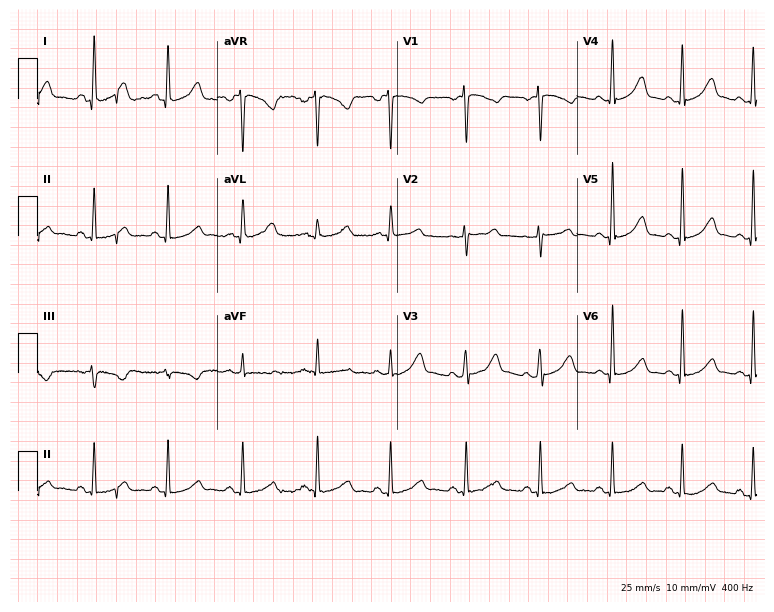
12-lead ECG from a female, 40 years old (7.3-second recording at 400 Hz). Recorded interpretation: within normal limits.